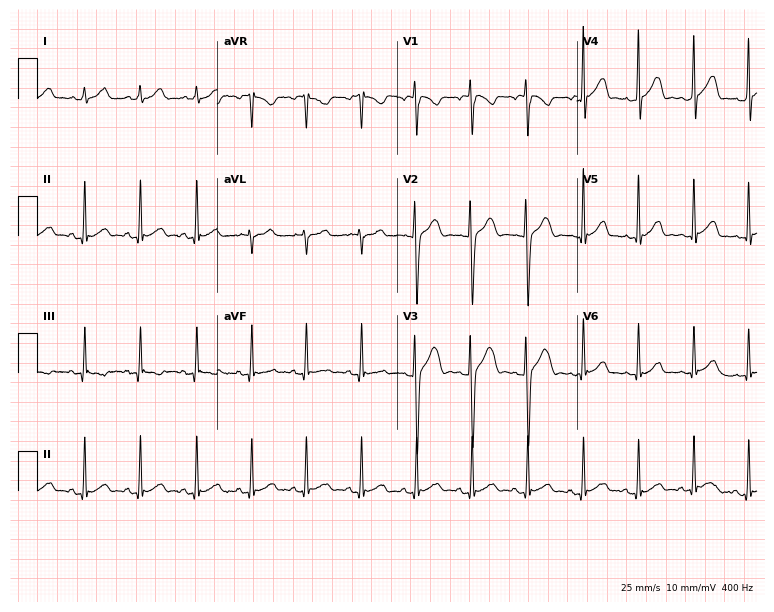
ECG (7.3-second recording at 400 Hz) — a man, 17 years old. Screened for six findings — first-degree AV block, right bundle branch block, left bundle branch block, sinus bradycardia, atrial fibrillation, sinus tachycardia — none is recorded.